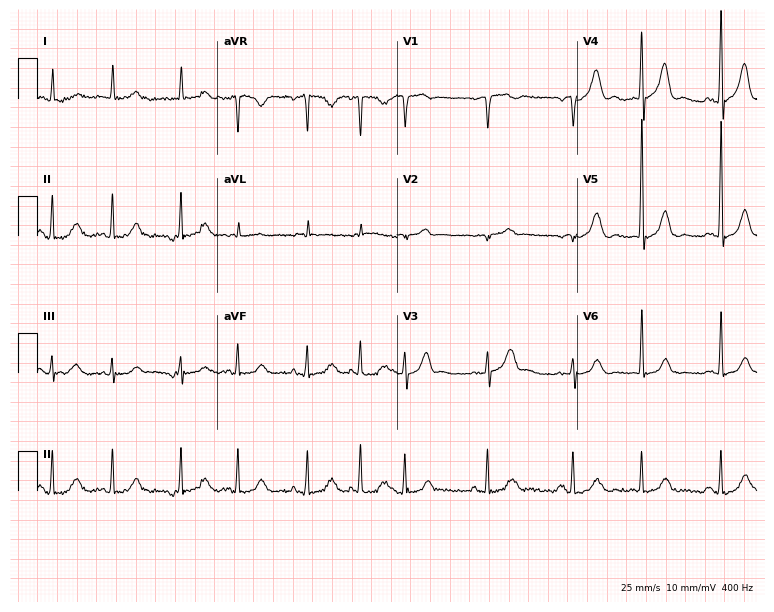
Standard 12-lead ECG recorded from a 71-year-old male. None of these six findings is recorded: first-degree AV block, right bundle branch block (RBBB), left bundle branch block (LBBB), sinus bradycardia, atrial fibrillation (AF), sinus tachycardia.